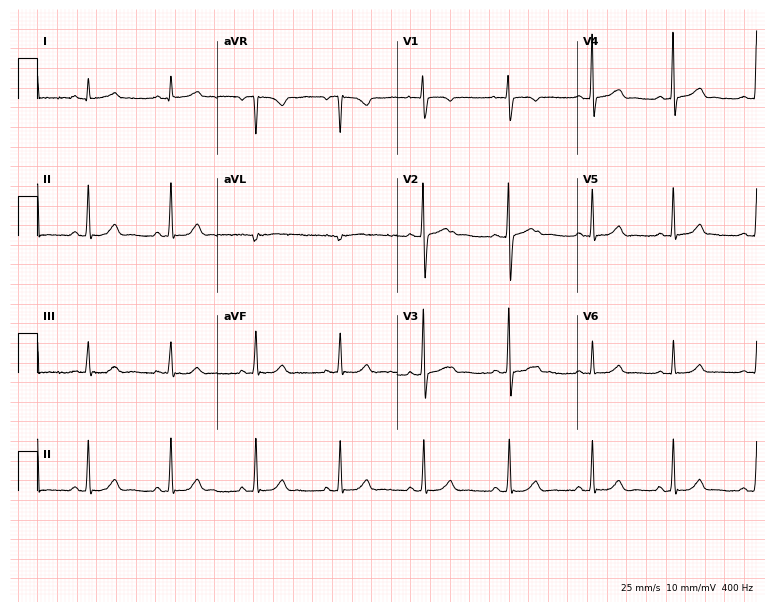
Standard 12-lead ECG recorded from a woman, 49 years old (7.3-second recording at 400 Hz). Read as a normal ECG.